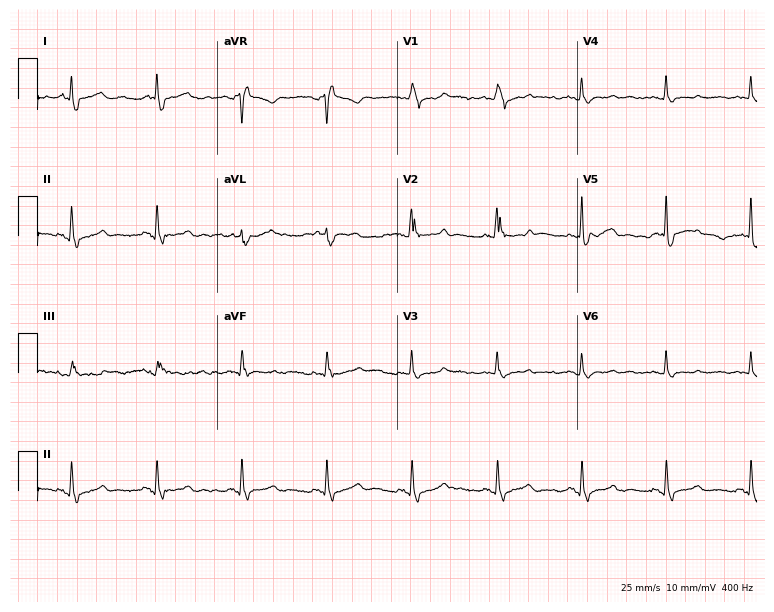
Electrocardiogram (7.3-second recording at 400 Hz), a female patient, 67 years old. Interpretation includes right bundle branch block.